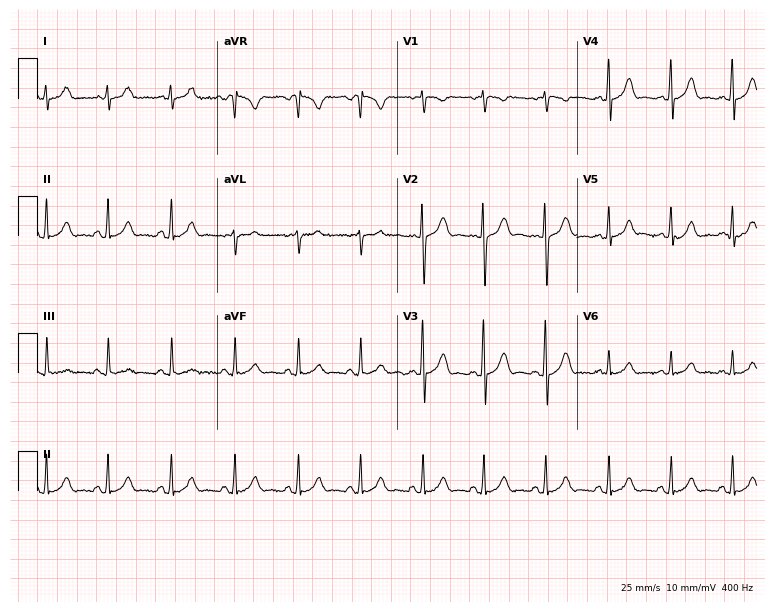
Resting 12-lead electrocardiogram. Patient: a 20-year-old female. Read as a normal ECG.